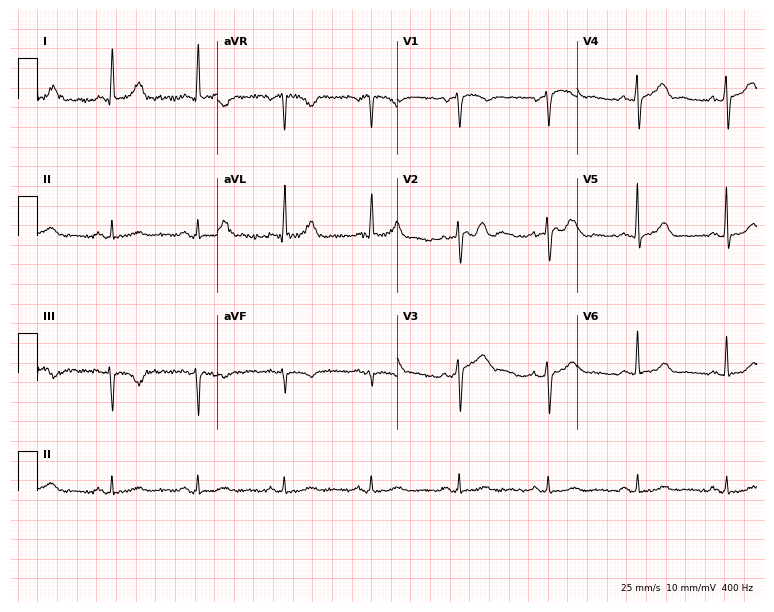
12-lead ECG from a 74-year-old male. No first-degree AV block, right bundle branch block, left bundle branch block, sinus bradycardia, atrial fibrillation or sinus tachycardia recorded for this tracing. Only these six findings were labelled.